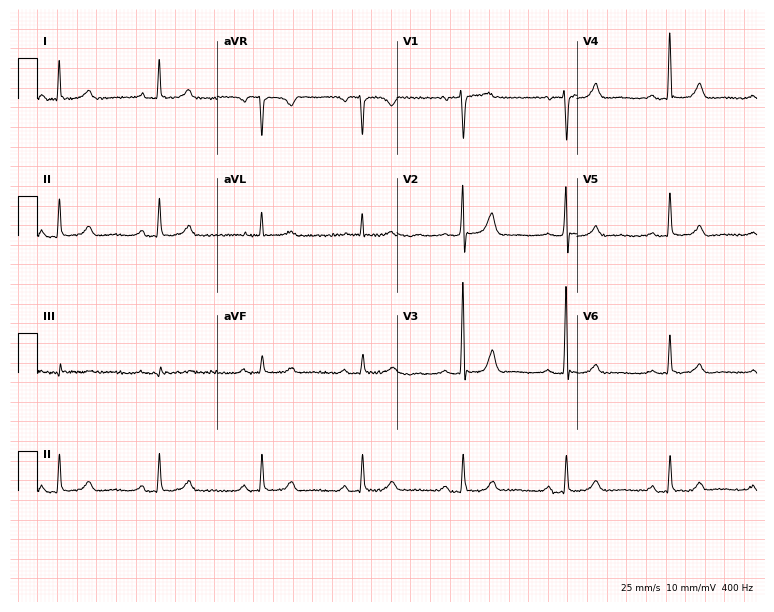
Electrocardiogram (7.3-second recording at 400 Hz), a woman, 69 years old. Of the six screened findings (first-degree AV block, right bundle branch block, left bundle branch block, sinus bradycardia, atrial fibrillation, sinus tachycardia), none is recorded. Findings outside these six are not listed.